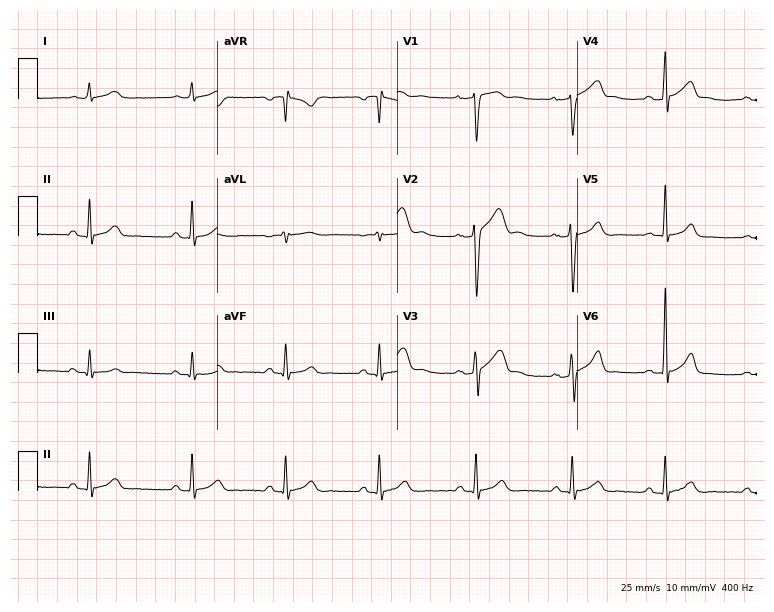
Electrocardiogram, a 26-year-old male patient. Of the six screened findings (first-degree AV block, right bundle branch block (RBBB), left bundle branch block (LBBB), sinus bradycardia, atrial fibrillation (AF), sinus tachycardia), none is recorded. Only these six findings were labelled.